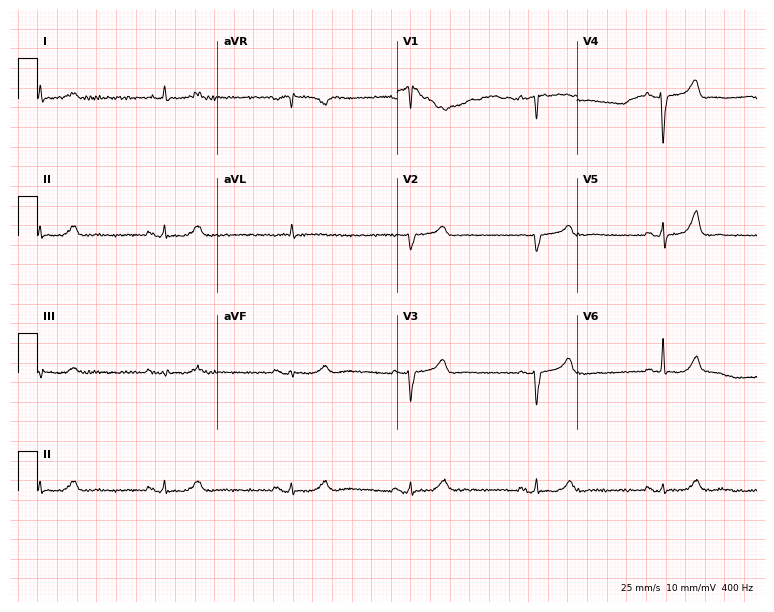
Standard 12-lead ECG recorded from a female, 70 years old. The tracing shows sinus bradycardia (a sinus rate of 50 beats per minute or less).